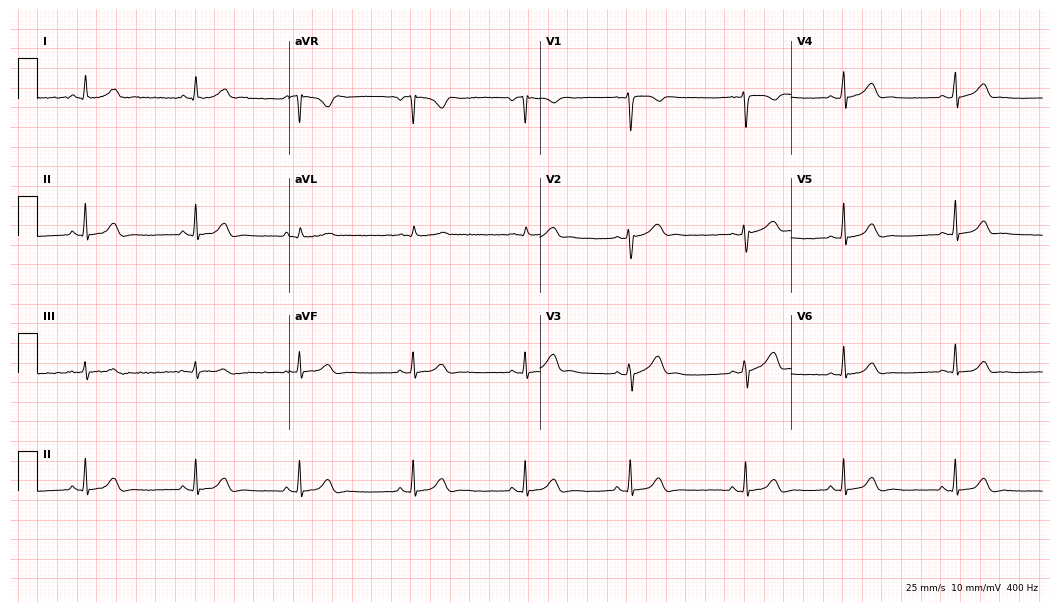
Electrocardiogram (10.2-second recording at 400 Hz), a woman, 22 years old. Overall reading on record: normal ECG.